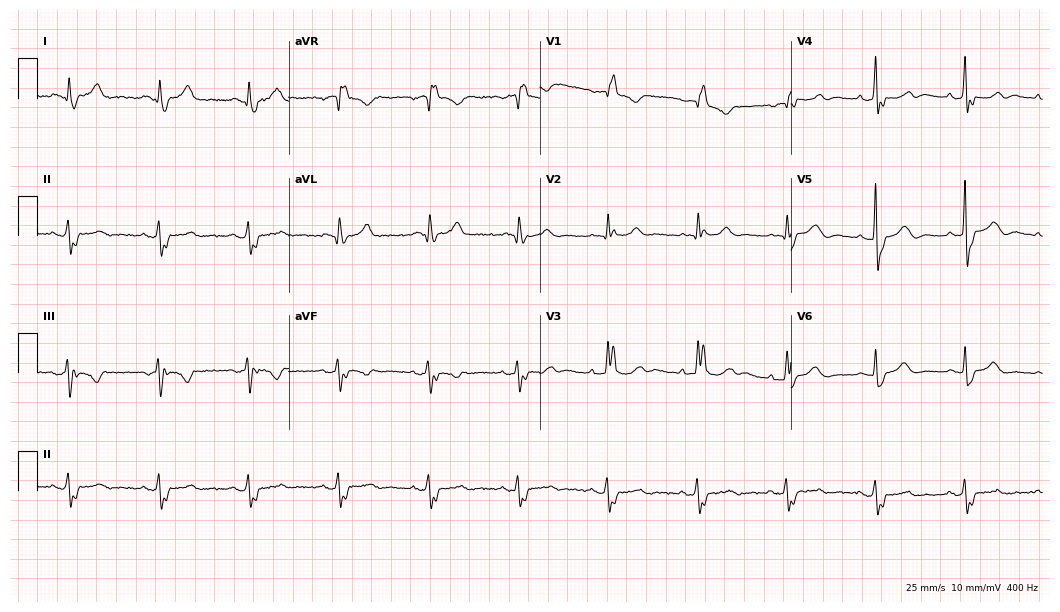
Electrocardiogram (10.2-second recording at 400 Hz), a woman, 82 years old. Of the six screened findings (first-degree AV block, right bundle branch block, left bundle branch block, sinus bradycardia, atrial fibrillation, sinus tachycardia), none is recorded.